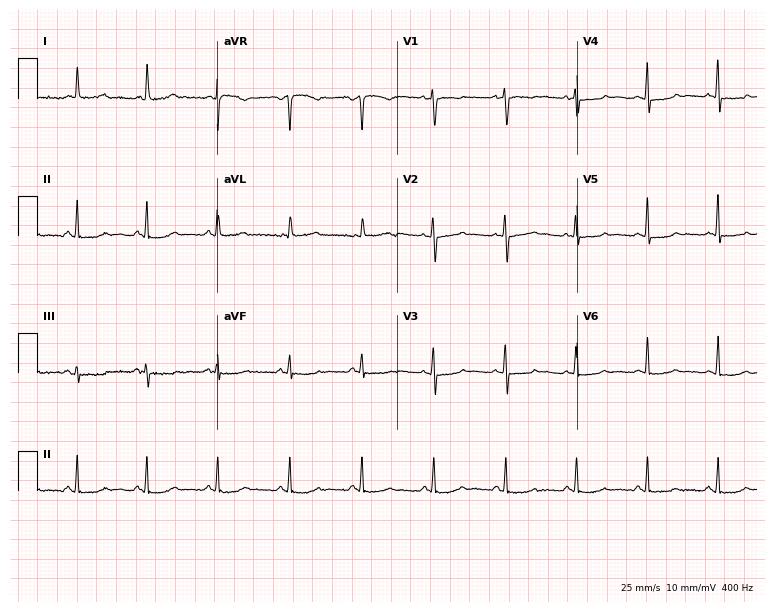
12-lead ECG (7.3-second recording at 400 Hz) from a female patient, 69 years old. Screened for six findings — first-degree AV block, right bundle branch block (RBBB), left bundle branch block (LBBB), sinus bradycardia, atrial fibrillation (AF), sinus tachycardia — none is recorded. Findings outside these six are not listed.